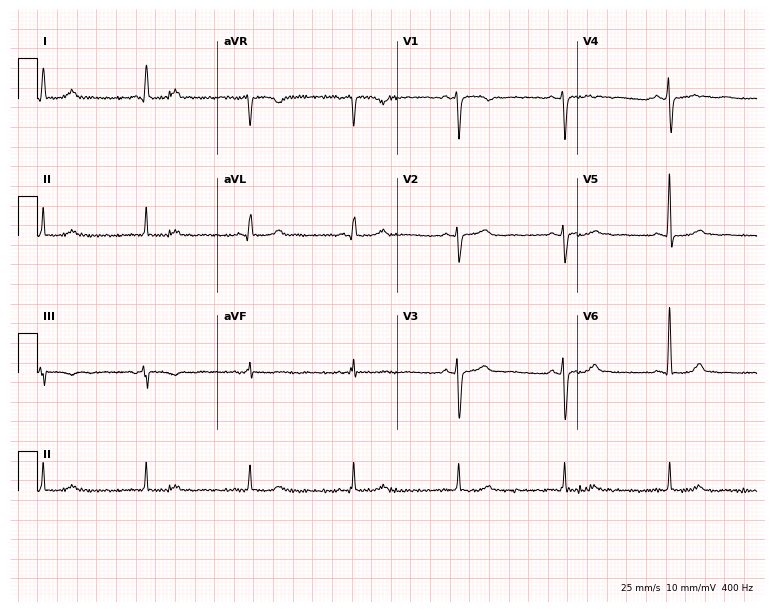
12-lead ECG from a 66-year-old female patient. Screened for six findings — first-degree AV block, right bundle branch block, left bundle branch block, sinus bradycardia, atrial fibrillation, sinus tachycardia — none is recorded.